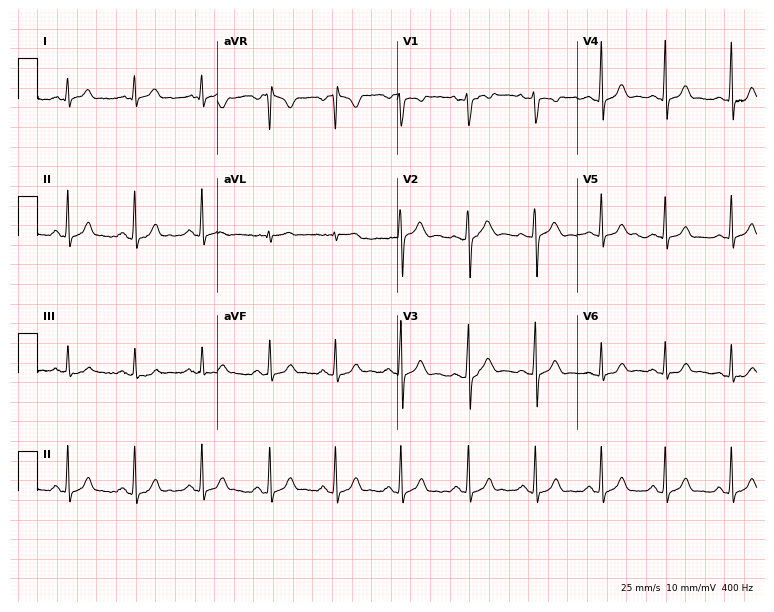
12-lead ECG (7.3-second recording at 400 Hz) from a 24-year-old female patient. Screened for six findings — first-degree AV block, right bundle branch block, left bundle branch block, sinus bradycardia, atrial fibrillation, sinus tachycardia — none is recorded.